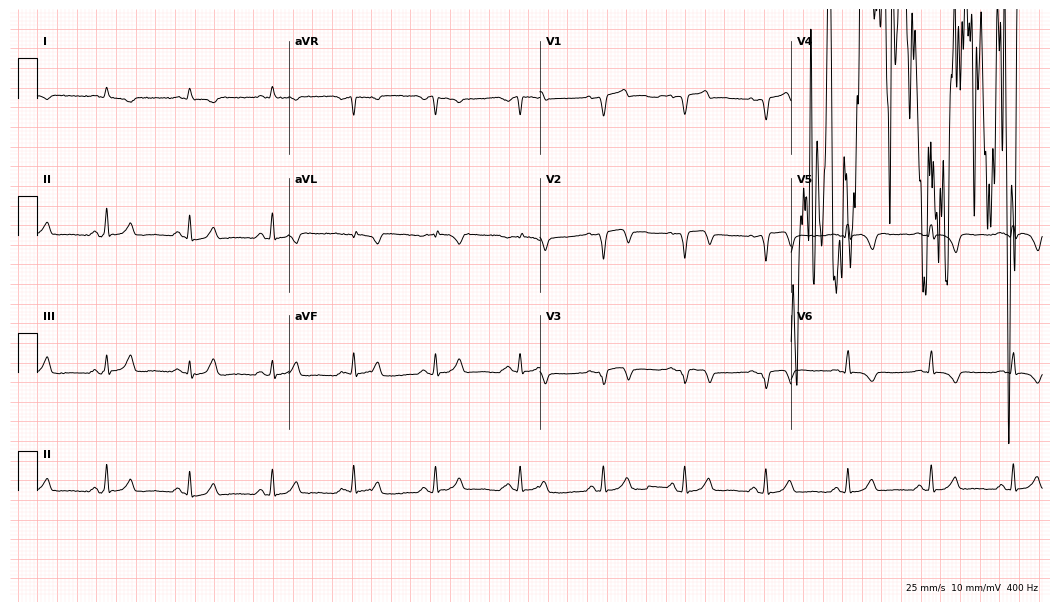
12-lead ECG (10.2-second recording at 400 Hz) from a male, 63 years old. Screened for six findings — first-degree AV block, right bundle branch block, left bundle branch block, sinus bradycardia, atrial fibrillation, sinus tachycardia — none is recorded. Only these six findings were labelled.